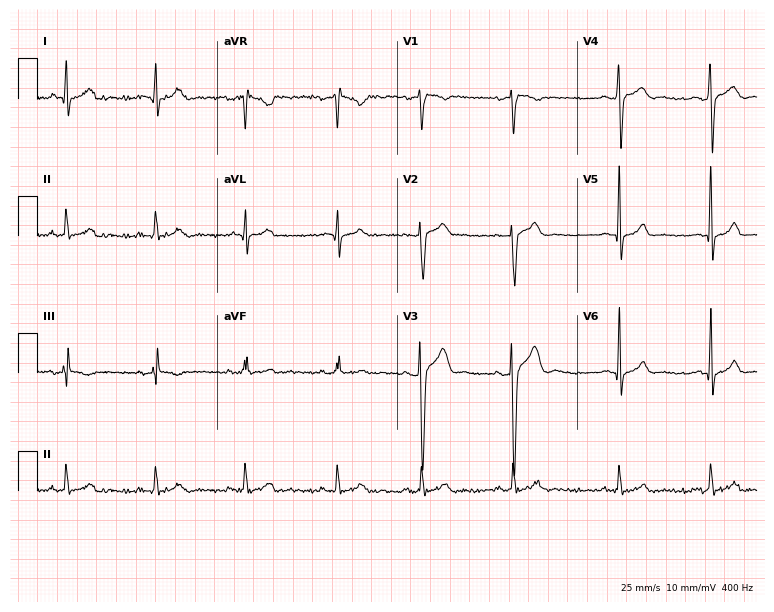
ECG — a 32-year-old man. Screened for six findings — first-degree AV block, right bundle branch block (RBBB), left bundle branch block (LBBB), sinus bradycardia, atrial fibrillation (AF), sinus tachycardia — none is recorded. Only these six findings were labelled.